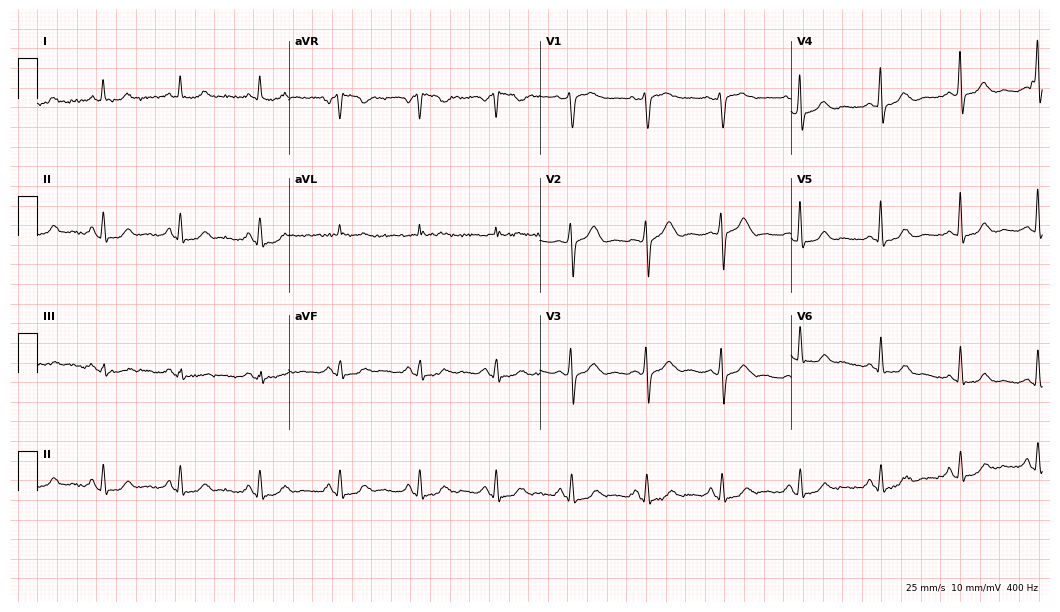
Resting 12-lead electrocardiogram (10.2-second recording at 400 Hz). Patient: a 66-year-old female. Read as a normal ECG.